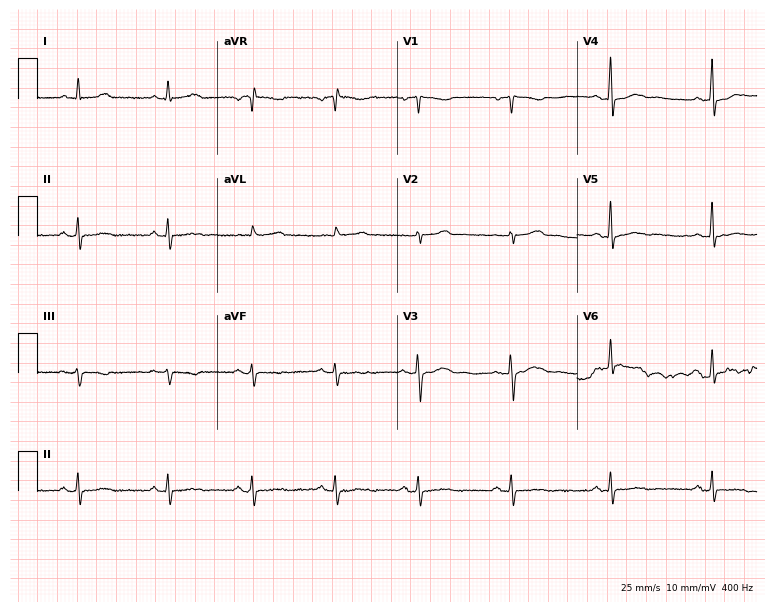
12-lead ECG from a woman, 63 years old. Labelled as a normal ECG.